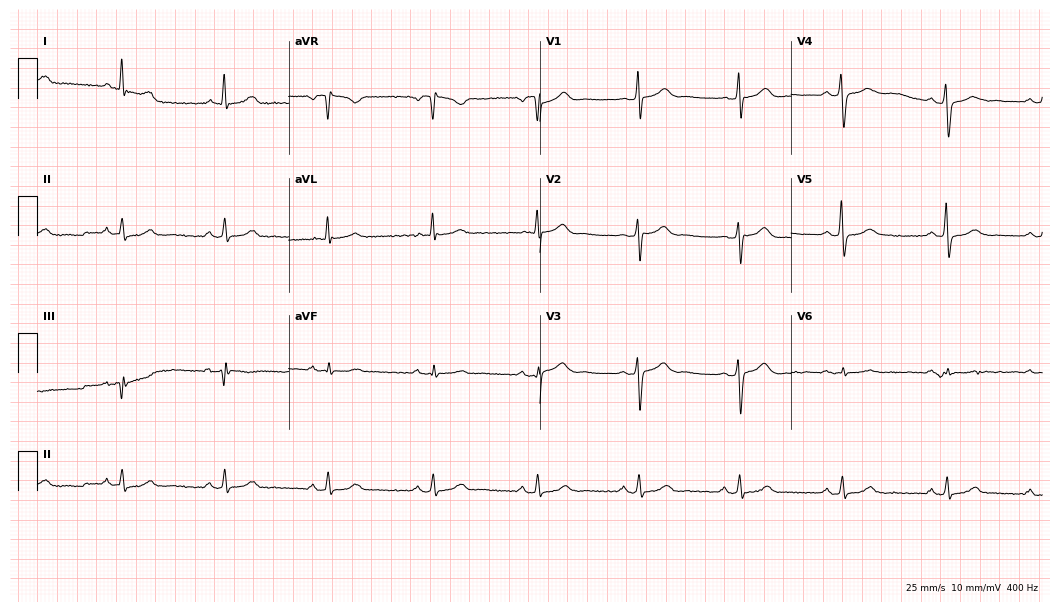
12-lead ECG (10.2-second recording at 400 Hz) from a female patient, 52 years old. Screened for six findings — first-degree AV block, right bundle branch block, left bundle branch block, sinus bradycardia, atrial fibrillation, sinus tachycardia — none is recorded. Other findings, if any, are not listed.